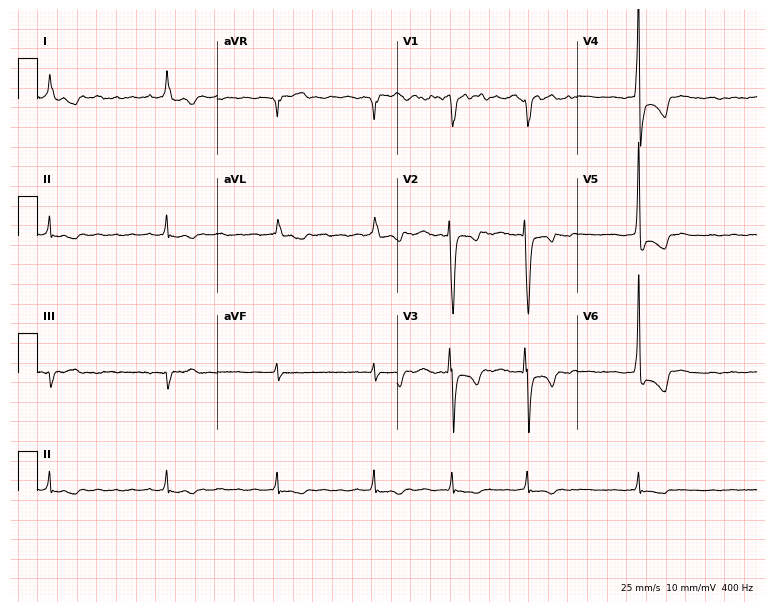
12-lead ECG (7.3-second recording at 400 Hz) from a woman, 58 years old. Findings include atrial fibrillation.